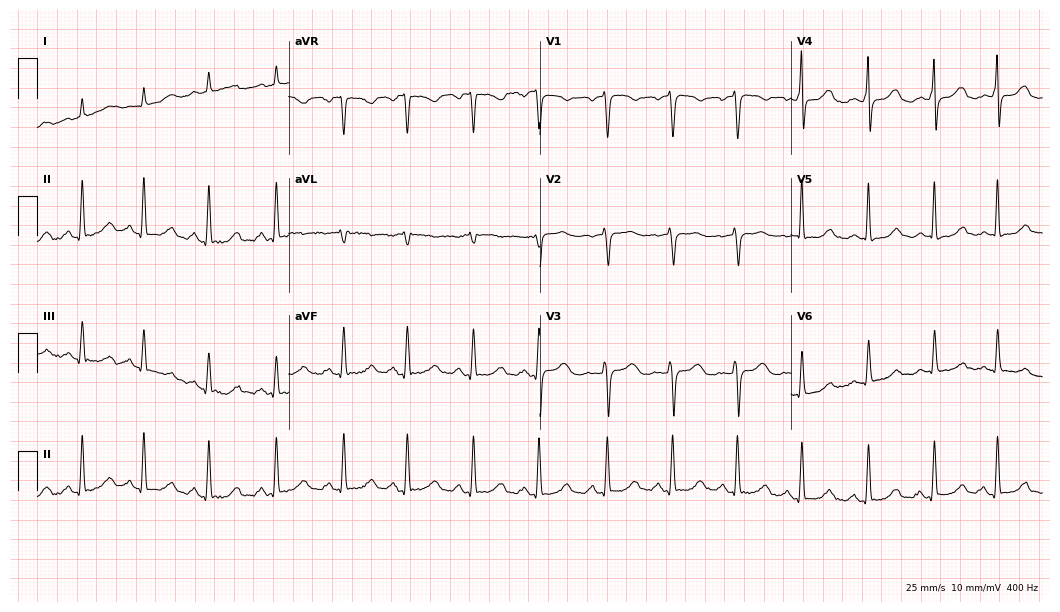
Electrocardiogram, a 42-year-old female patient. Of the six screened findings (first-degree AV block, right bundle branch block, left bundle branch block, sinus bradycardia, atrial fibrillation, sinus tachycardia), none is recorded. Findings outside these six are not listed.